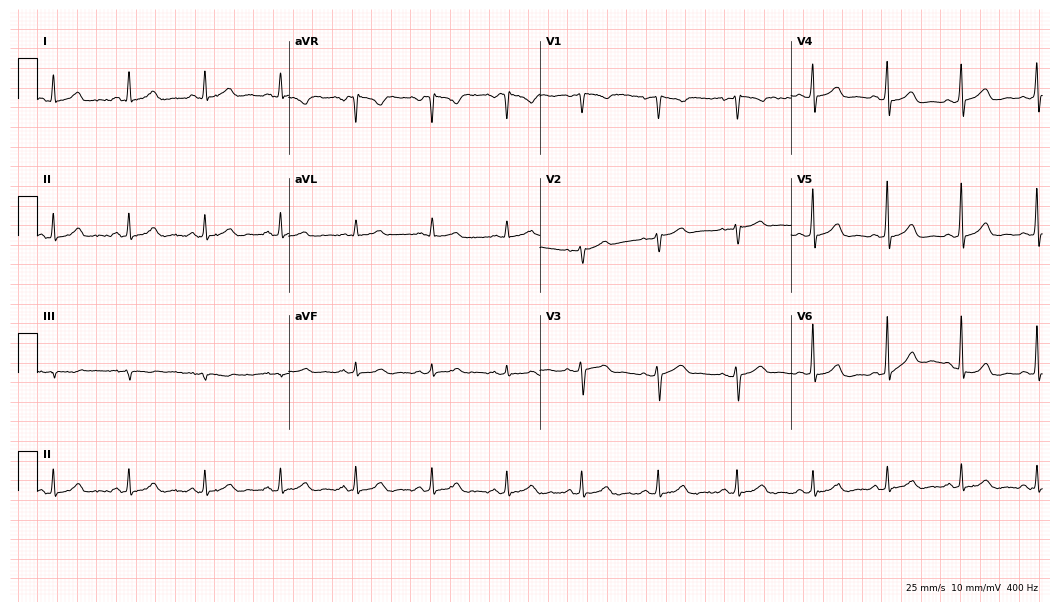
12-lead ECG (10.2-second recording at 400 Hz) from a female, 45 years old. Screened for six findings — first-degree AV block, right bundle branch block, left bundle branch block, sinus bradycardia, atrial fibrillation, sinus tachycardia — none is recorded. Only these six findings were labelled.